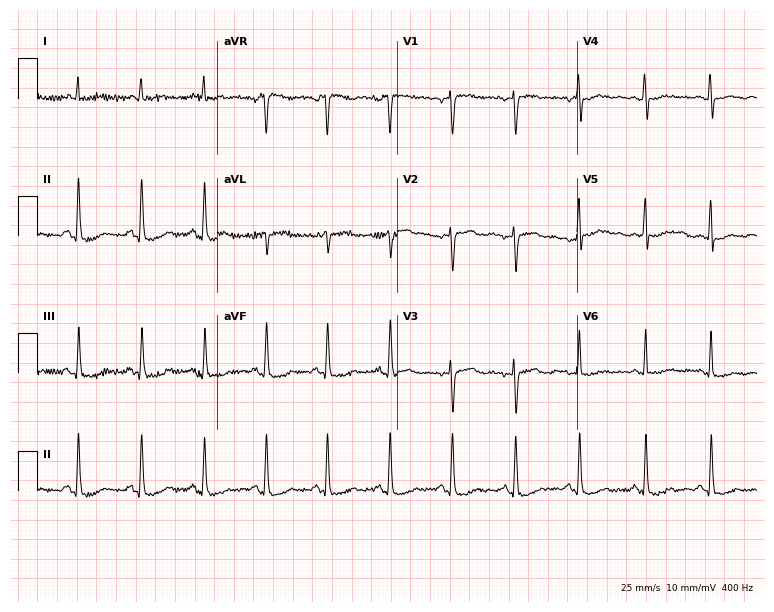
Electrocardiogram (7.3-second recording at 400 Hz), a female, 34 years old. Of the six screened findings (first-degree AV block, right bundle branch block (RBBB), left bundle branch block (LBBB), sinus bradycardia, atrial fibrillation (AF), sinus tachycardia), none is recorded.